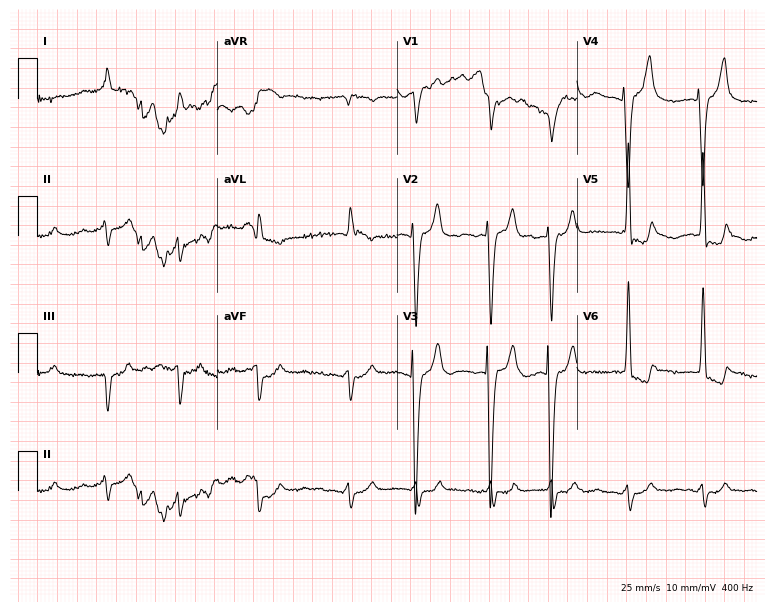
Resting 12-lead electrocardiogram. Patient: a 63-year-old woman. The tracing shows atrial fibrillation (AF).